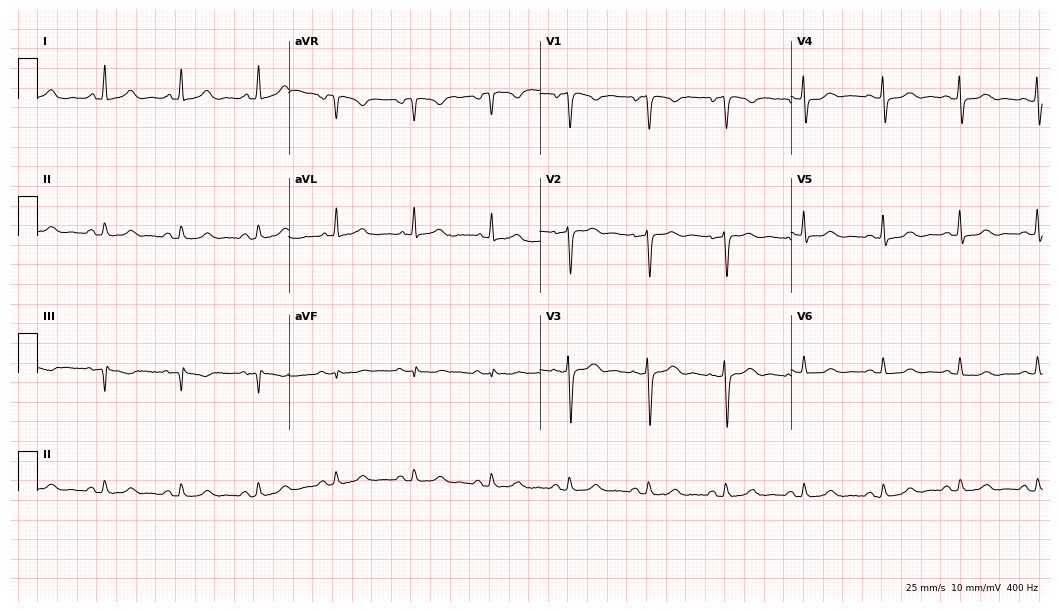
ECG — a female, 58 years old. Screened for six findings — first-degree AV block, right bundle branch block (RBBB), left bundle branch block (LBBB), sinus bradycardia, atrial fibrillation (AF), sinus tachycardia — none is recorded.